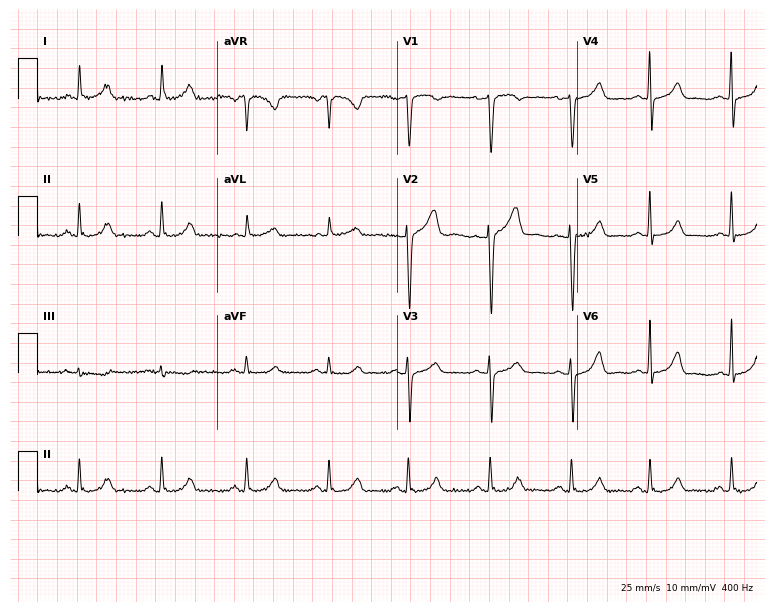
Standard 12-lead ECG recorded from a 45-year-old female (7.3-second recording at 400 Hz). Read as a normal ECG.